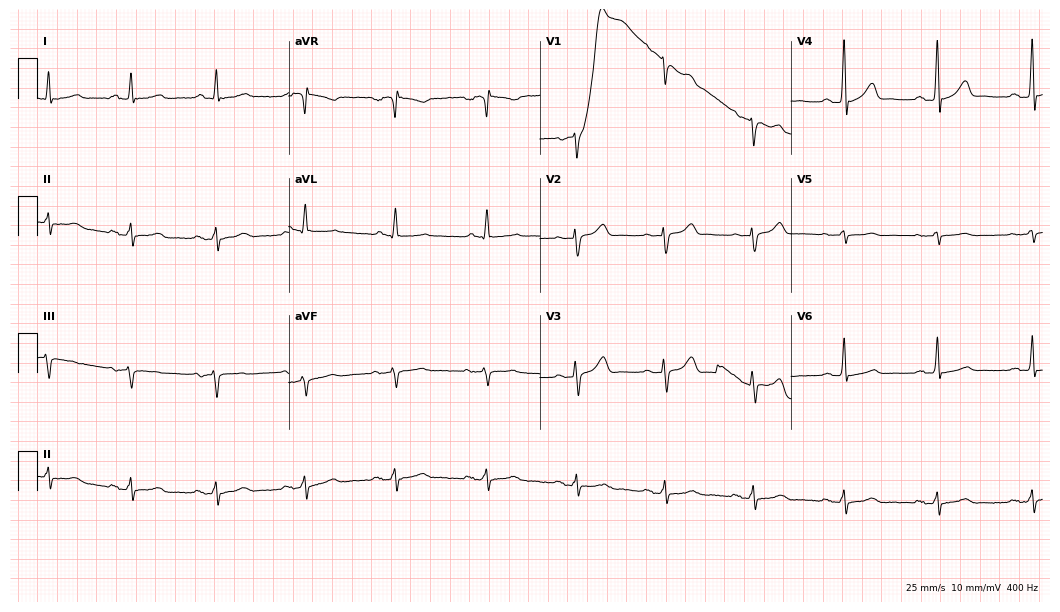
Resting 12-lead electrocardiogram. Patient: a male, 55 years old. None of these six findings is recorded: first-degree AV block, right bundle branch block (RBBB), left bundle branch block (LBBB), sinus bradycardia, atrial fibrillation (AF), sinus tachycardia.